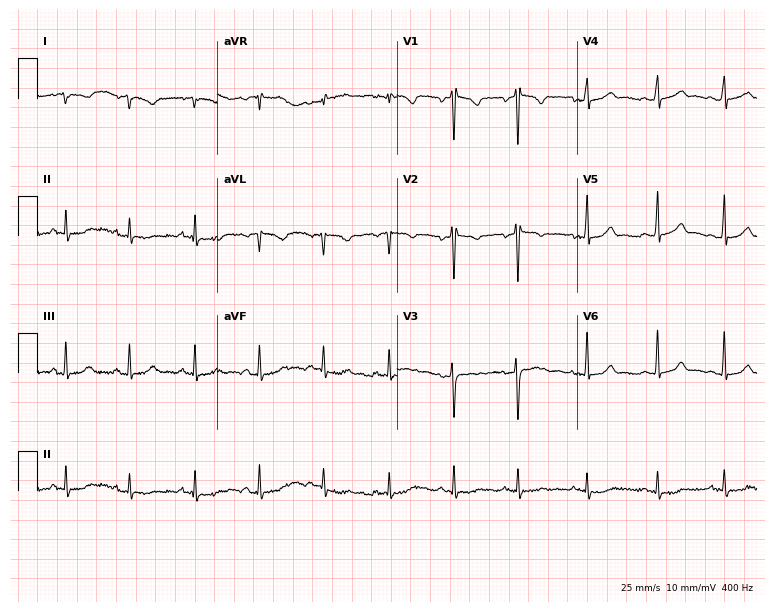
Standard 12-lead ECG recorded from a woman, 25 years old. None of these six findings is recorded: first-degree AV block, right bundle branch block (RBBB), left bundle branch block (LBBB), sinus bradycardia, atrial fibrillation (AF), sinus tachycardia. Only these six findings were labelled.